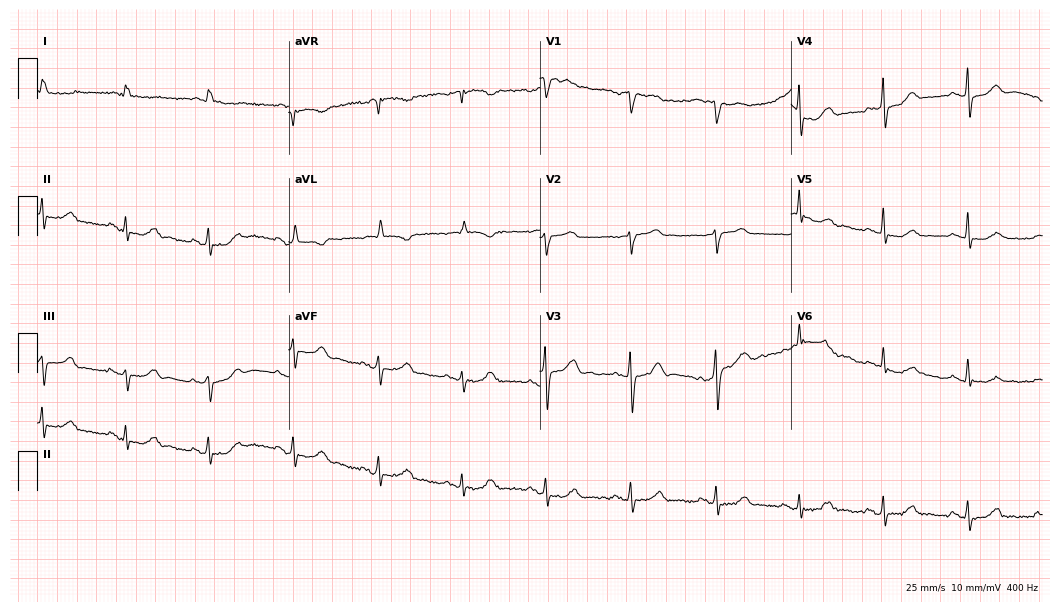
12-lead ECG from an 84-year-old male patient. Screened for six findings — first-degree AV block, right bundle branch block, left bundle branch block, sinus bradycardia, atrial fibrillation, sinus tachycardia — none is recorded. Only these six findings were labelled.